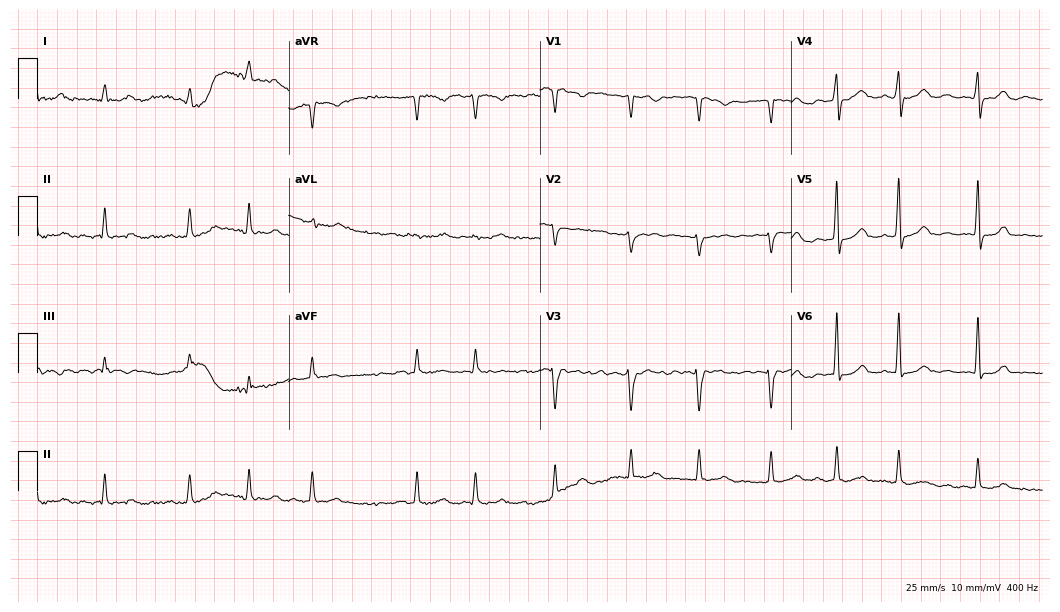
Resting 12-lead electrocardiogram. Patient: a woman, 80 years old. The tracing shows atrial fibrillation.